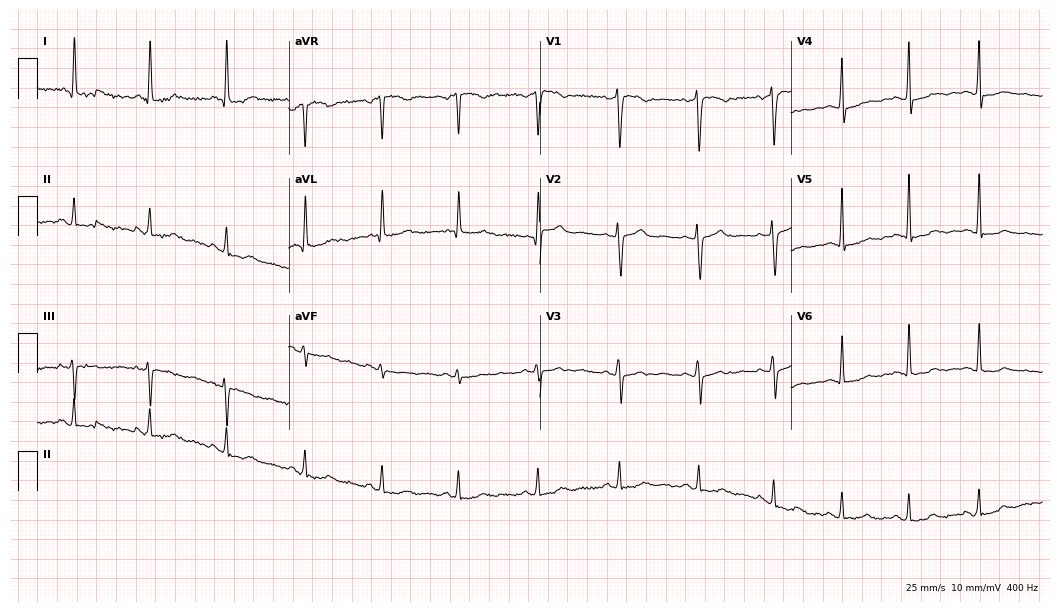
Electrocardiogram, a female, 47 years old. Of the six screened findings (first-degree AV block, right bundle branch block, left bundle branch block, sinus bradycardia, atrial fibrillation, sinus tachycardia), none is recorded. Only these six findings were labelled.